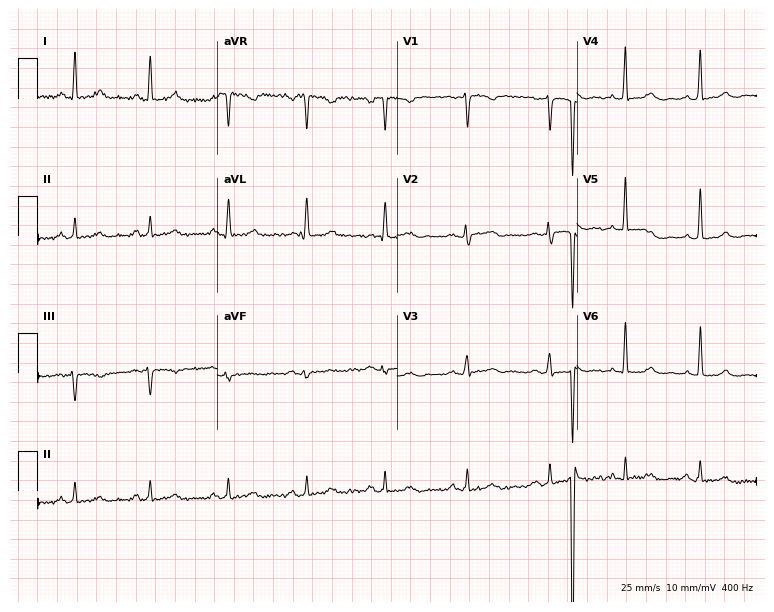
12-lead ECG from a 42-year-old woman (7.3-second recording at 400 Hz). No first-degree AV block, right bundle branch block (RBBB), left bundle branch block (LBBB), sinus bradycardia, atrial fibrillation (AF) or sinus tachycardia recorded for this tracing. Other findings, if any, are not listed.